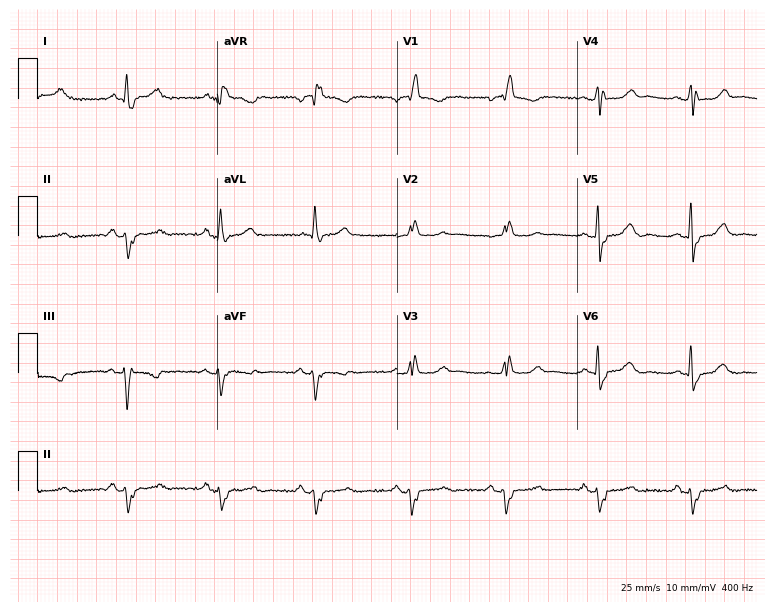
ECG — a woman, 82 years old. Findings include right bundle branch block.